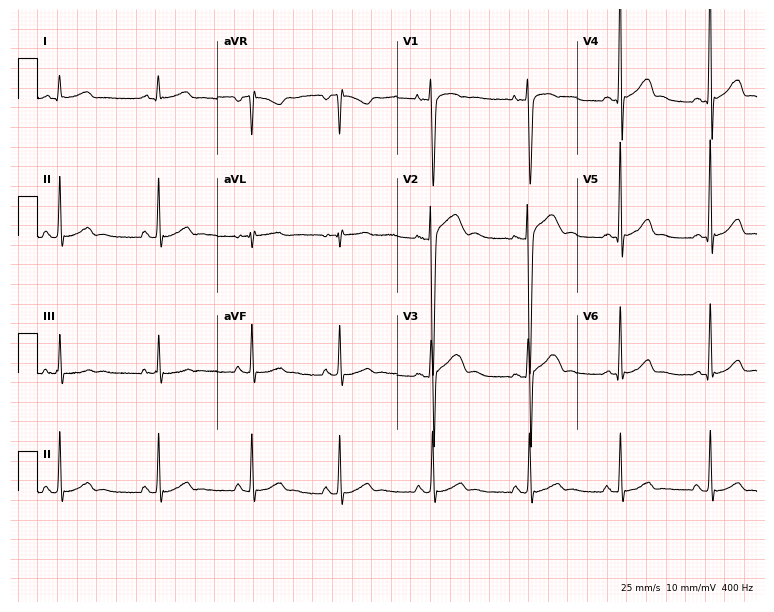
Standard 12-lead ECG recorded from a 17-year-old male. Read as a normal ECG.